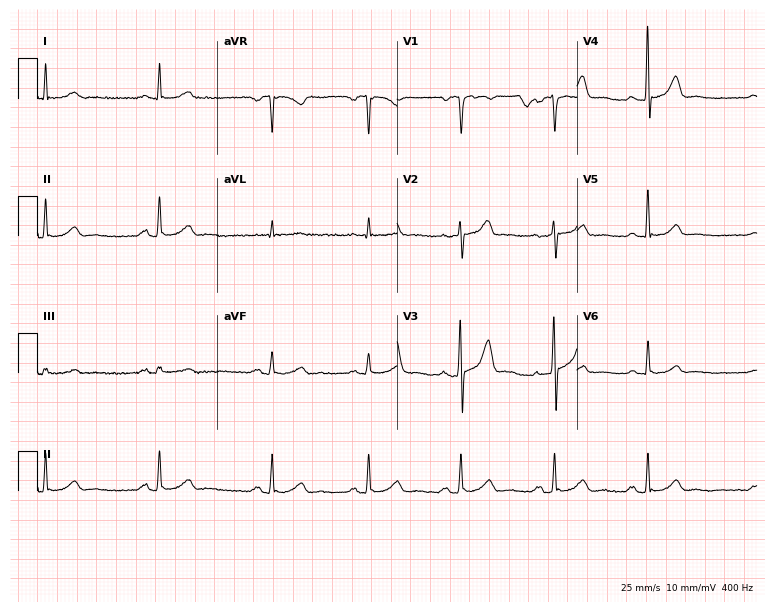
12-lead ECG (7.3-second recording at 400 Hz) from a 61-year-old male patient. Labelled as a normal ECG.